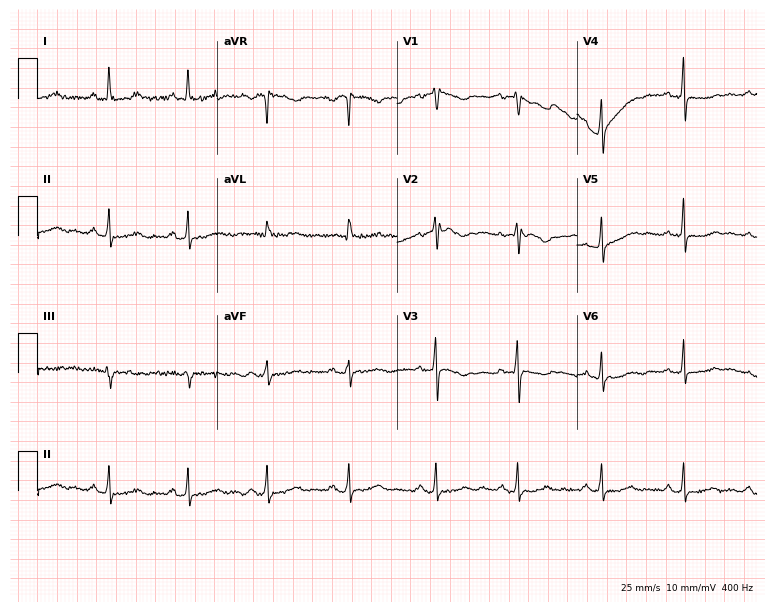
Electrocardiogram, a female, 45 years old. Of the six screened findings (first-degree AV block, right bundle branch block, left bundle branch block, sinus bradycardia, atrial fibrillation, sinus tachycardia), none is recorded.